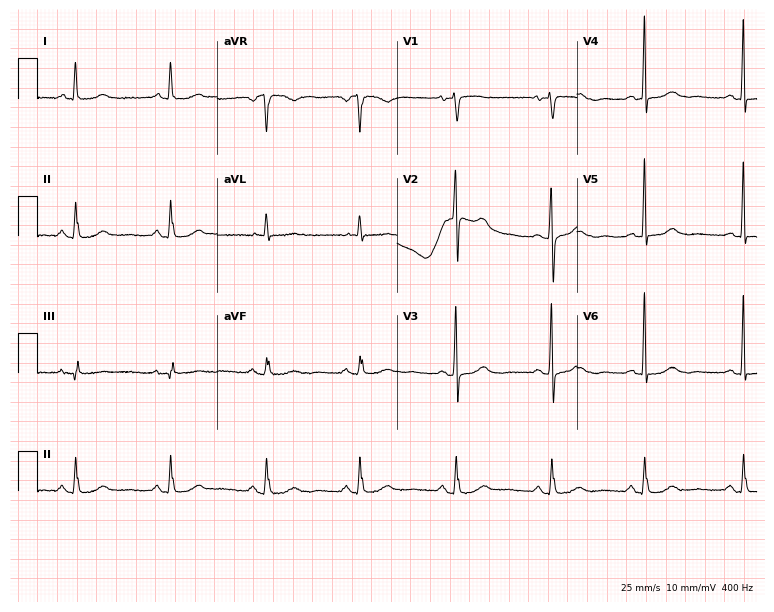
Standard 12-lead ECG recorded from a 71-year-old female patient. None of these six findings is recorded: first-degree AV block, right bundle branch block, left bundle branch block, sinus bradycardia, atrial fibrillation, sinus tachycardia.